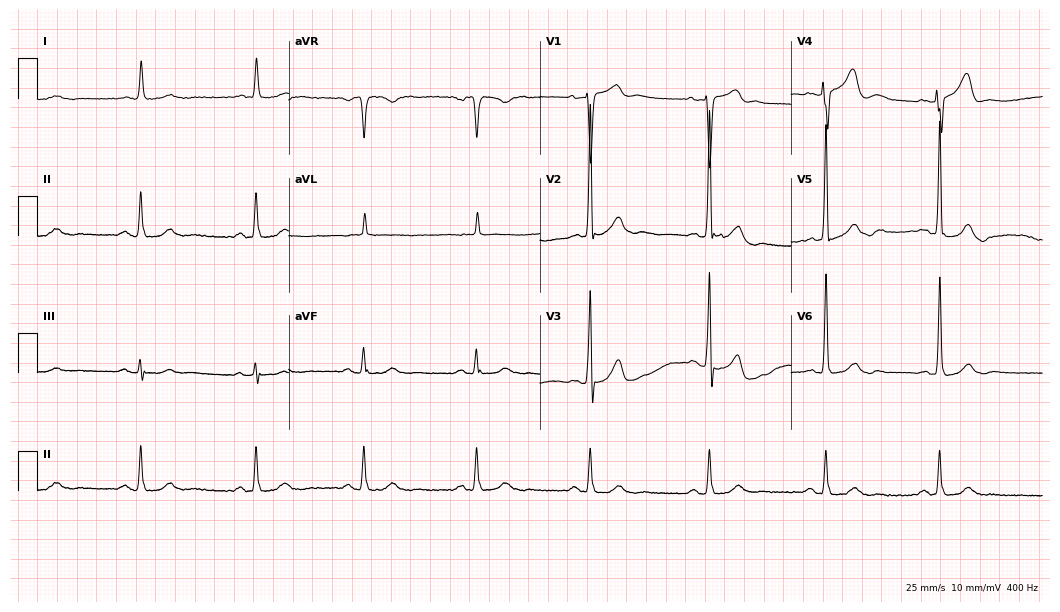
Resting 12-lead electrocardiogram. Patient: a 75-year-old male. None of these six findings is recorded: first-degree AV block, right bundle branch block (RBBB), left bundle branch block (LBBB), sinus bradycardia, atrial fibrillation (AF), sinus tachycardia. Findings outside these six are not listed.